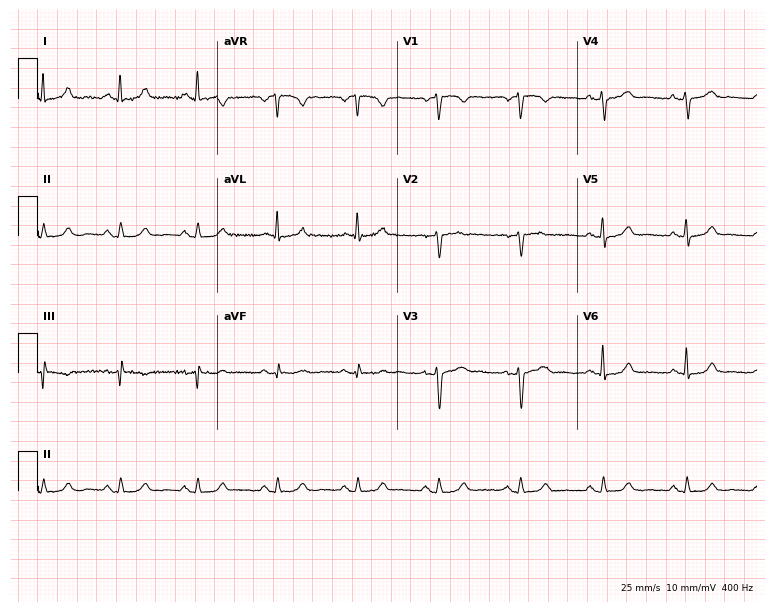
Electrocardiogram, a 56-year-old woman. Of the six screened findings (first-degree AV block, right bundle branch block (RBBB), left bundle branch block (LBBB), sinus bradycardia, atrial fibrillation (AF), sinus tachycardia), none is recorded. Other findings, if any, are not listed.